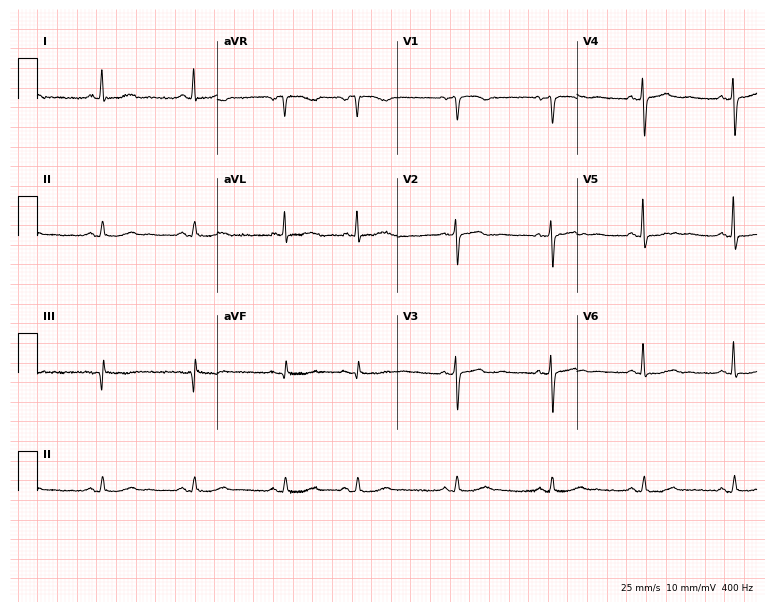
Electrocardiogram, a woman, 67 years old. Of the six screened findings (first-degree AV block, right bundle branch block (RBBB), left bundle branch block (LBBB), sinus bradycardia, atrial fibrillation (AF), sinus tachycardia), none is recorded.